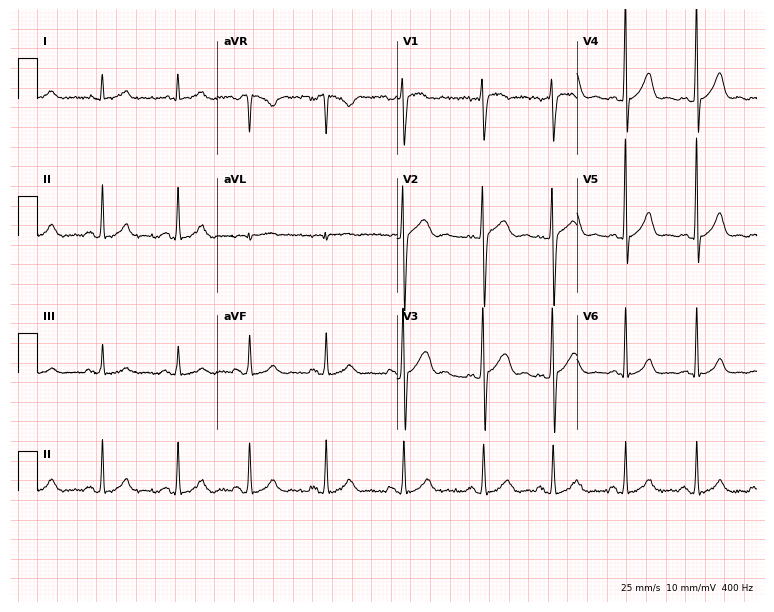
12-lead ECG from a male, 30 years old (7.3-second recording at 400 Hz). No first-degree AV block, right bundle branch block, left bundle branch block, sinus bradycardia, atrial fibrillation or sinus tachycardia recorded for this tracing.